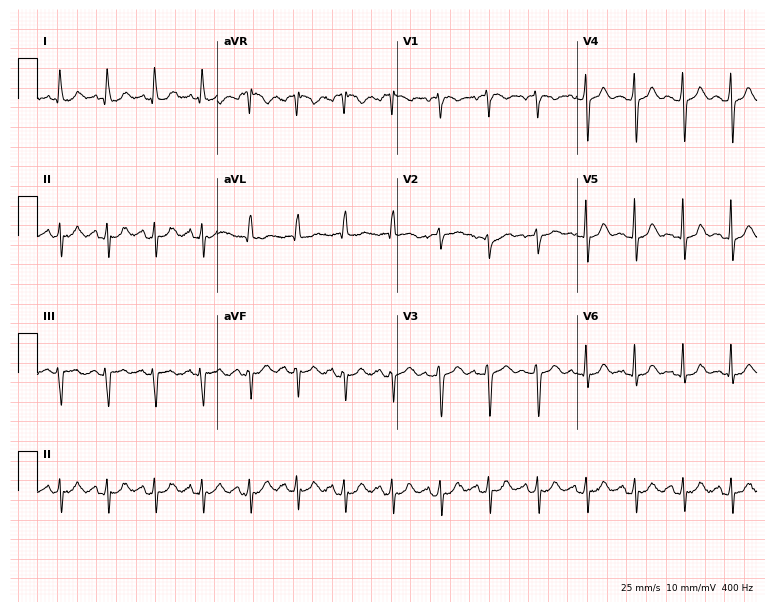
12-lead ECG from a female, 43 years old. Screened for six findings — first-degree AV block, right bundle branch block (RBBB), left bundle branch block (LBBB), sinus bradycardia, atrial fibrillation (AF), sinus tachycardia — none is recorded. Only these six findings were labelled.